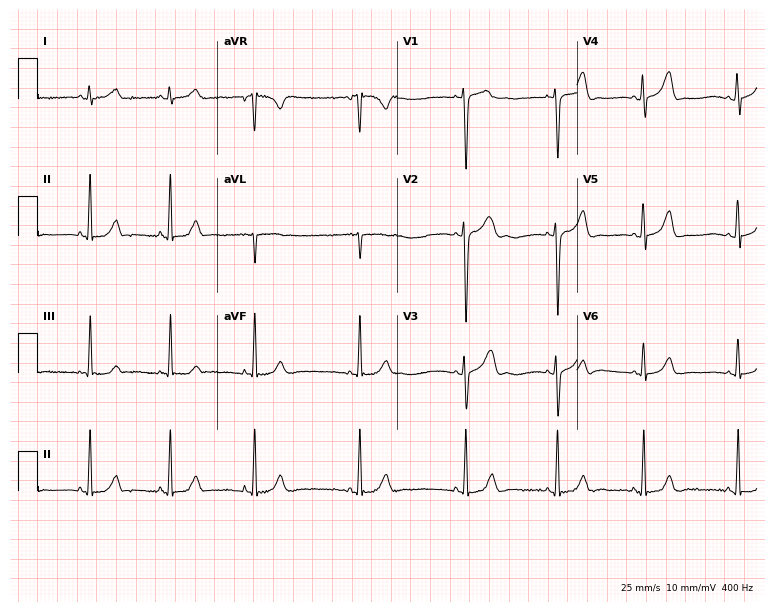
ECG — a 20-year-old woman. Labelled as a normal ECG.